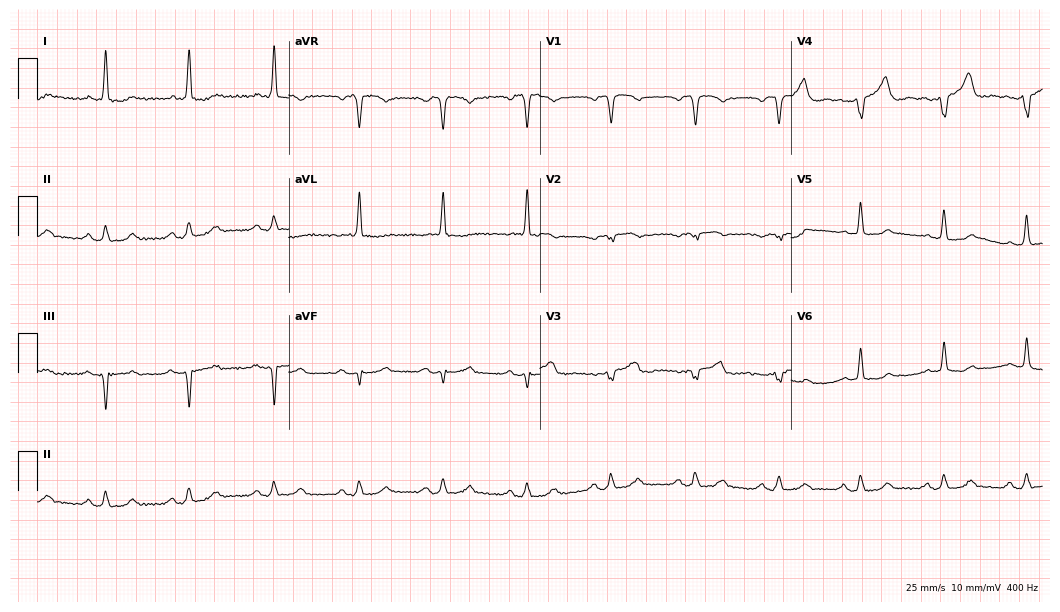
12-lead ECG (10.2-second recording at 400 Hz) from a 78-year-old female. Screened for six findings — first-degree AV block, right bundle branch block, left bundle branch block, sinus bradycardia, atrial fibrillation, sinus tachycardia — none is recorded.